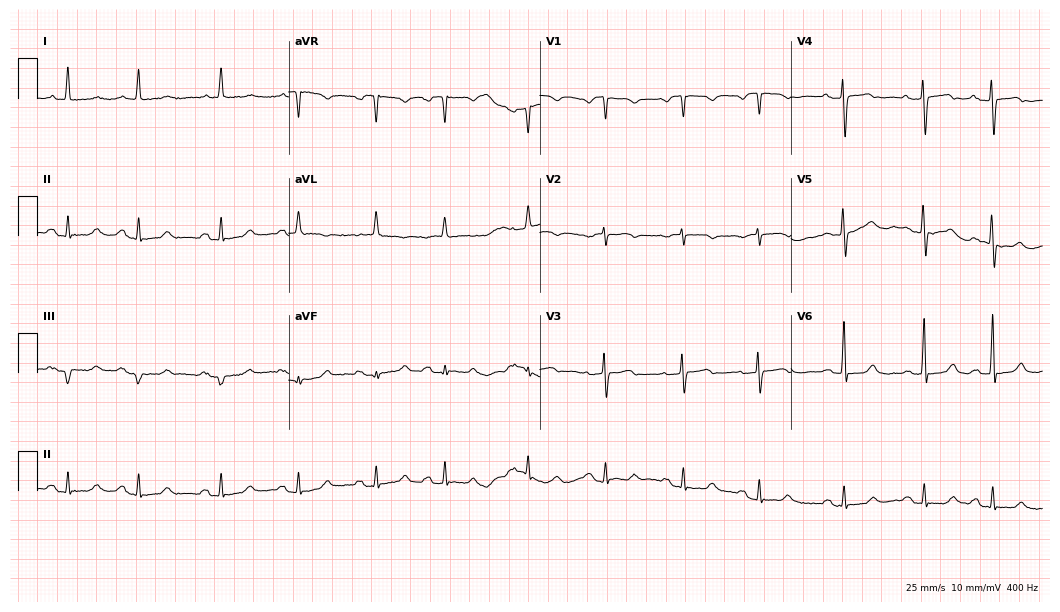
Resting 12-lead electrocardiogram. Patient: a female, 83 years old. None of these six findings is recorded: first-degree AV block, right bundle branch block, left bundle branch block, sinus bradycardia, atrial fibrillation, sinus tachycardia.